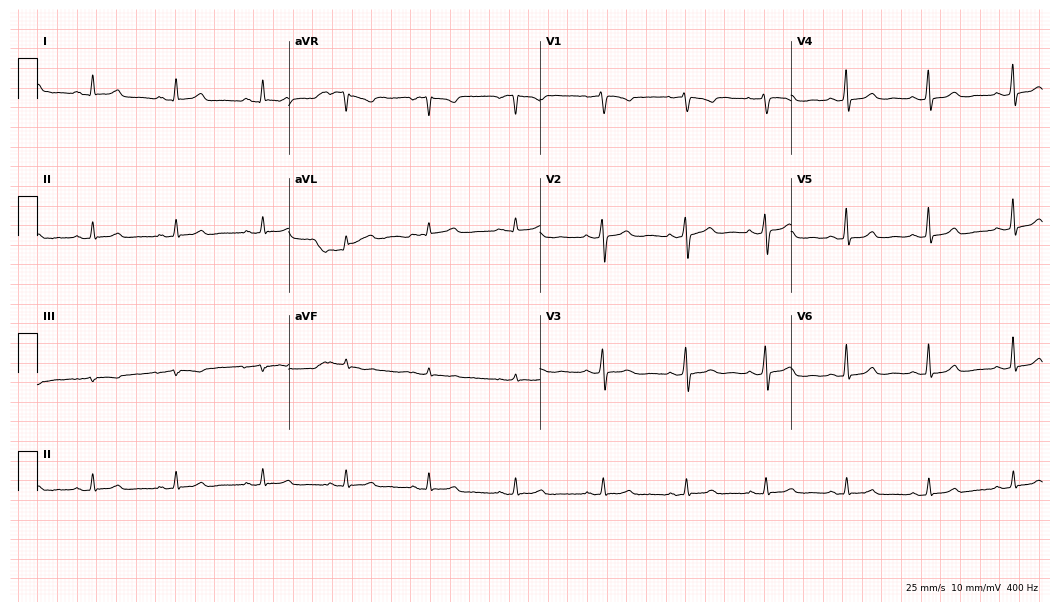
Resting 12-lead electrocardiogram. Patient: a female, 41 years old. Read as a normal ECG.